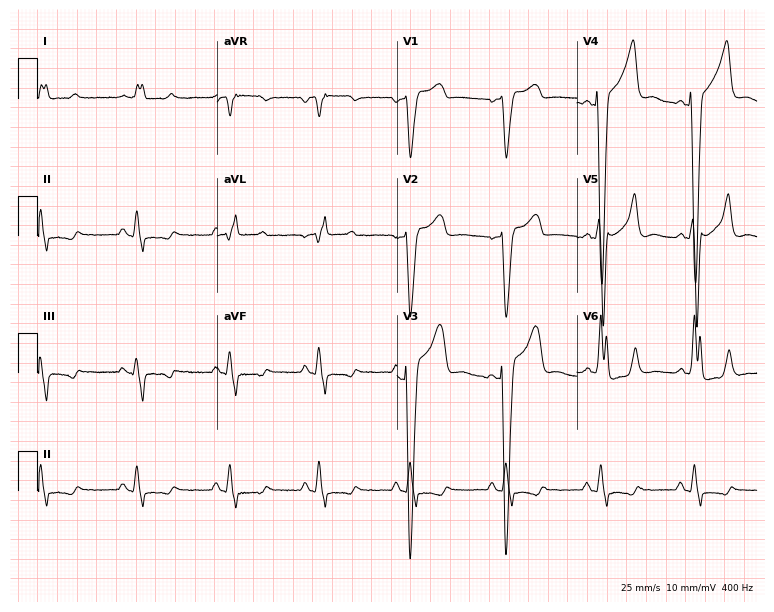
Standard 12-lead ECG recorded from a female patient, 69 years old (7.3-second recording at 400 Hz). The tracing shows left bundle branch block.